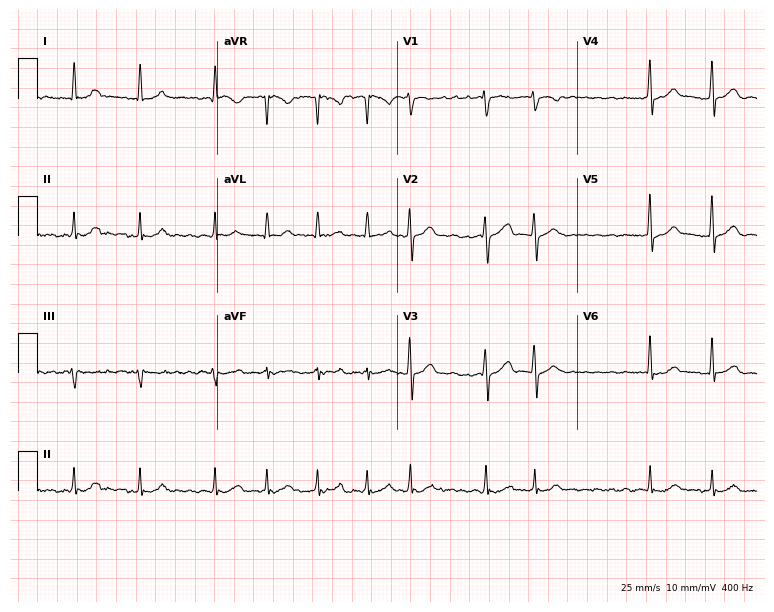
ECG (7.3-second recording at 400 Hz) — a male patient, 44 years old. Findings include atrial fibrillation (AF).